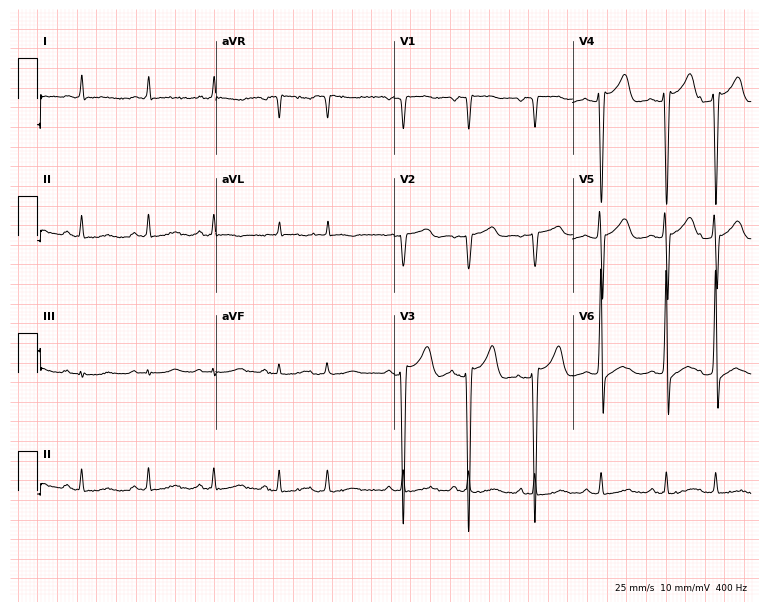
Electrocardiogram, a male patient, 76 years old. Of the six screened findings (first-degree AV block, right bundle branch block, left bundle branch block, sinus bradycardia, atrial fibrillation, sinus tachycardia), none is recorded. Findings outside these six are not listed.